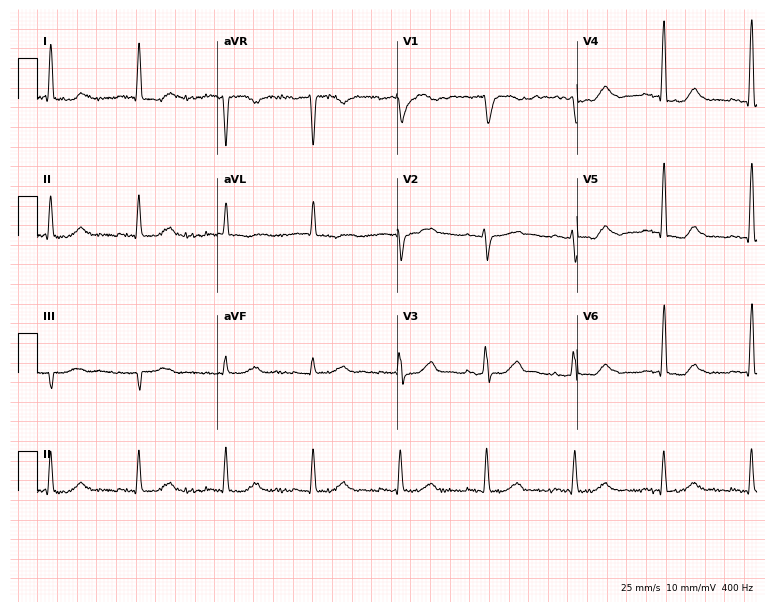
Standard 12-lead ECG recorded from a female patient, 77 years old (7.3-second recording at 400 Hz). Read as a normal ECG.